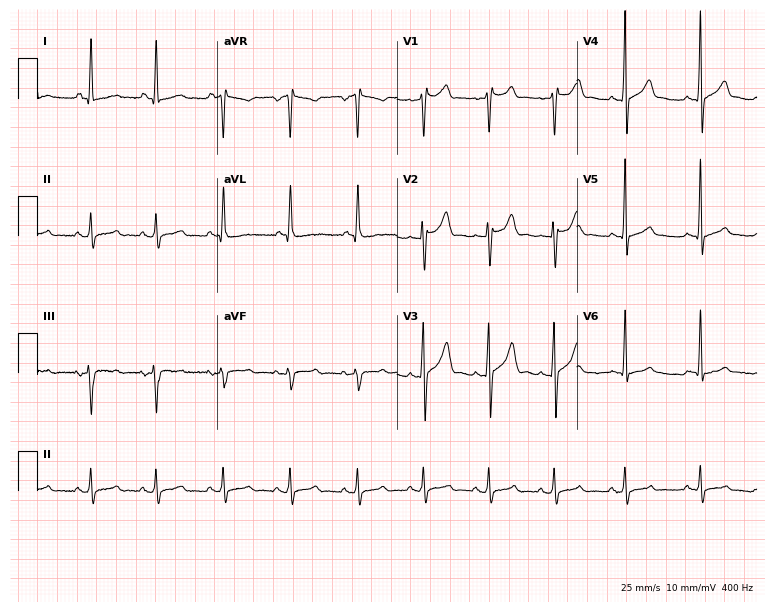
12-lead ECG from a man, 29 years old. Labelled as a normal ECG.